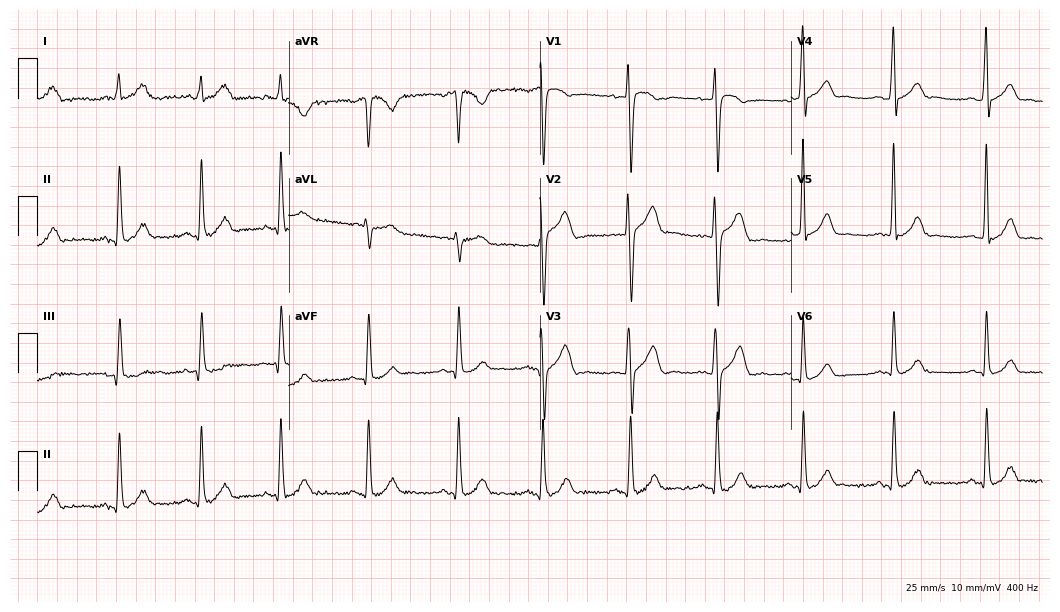
Electrocardiogram (10.2-second recording at 400 Hz), a 28-year-old male patient. Overall reading on record: normal ECG.